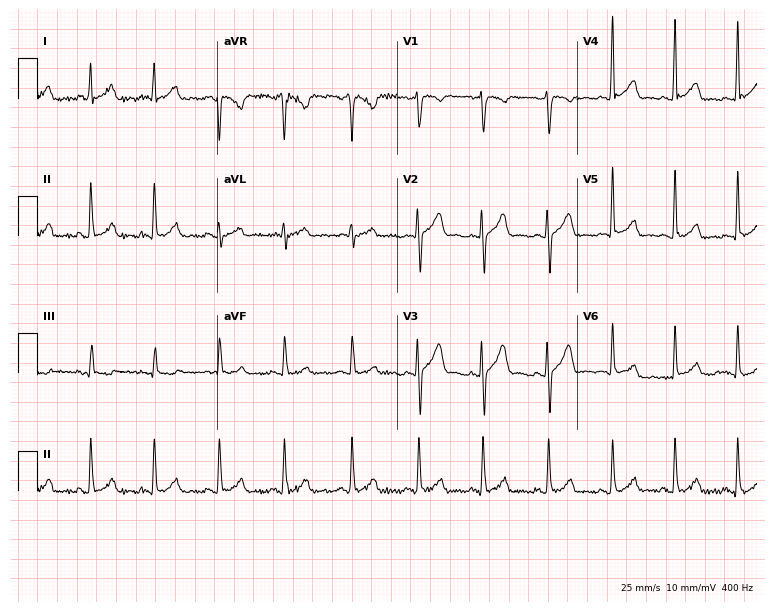
12-lead ECG from a man, 26 years old. Labelled as a normal ECG.